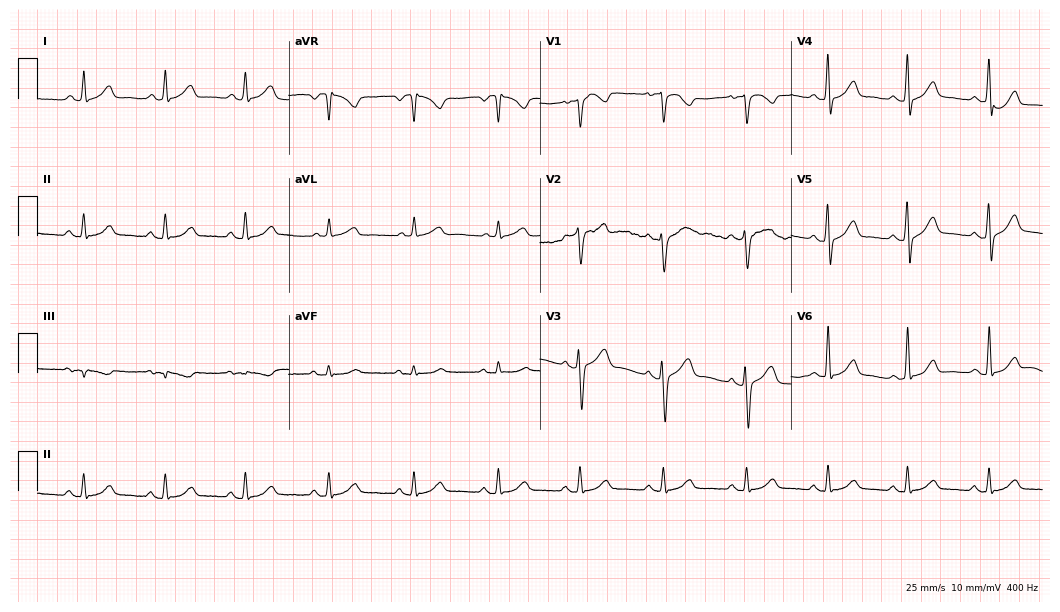
12-lead ECG from a 47-year-old male patient (10.2-second recording at 400 Hz). Recorded interpretation: within normal limits.